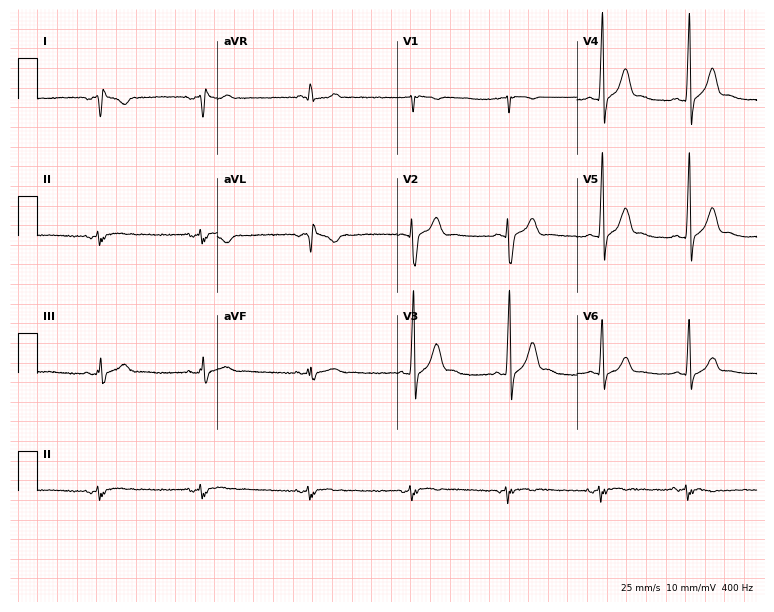
12-lead ECG from a 22-year-old male patient (7.3-second recording at 400 Hz). No first-degree AV block, right bundle branch block, left bundle branch block, sinus bradycardia, atrial fibrillation or sinus tachycardia recorded for this tracing. Other findings, if any, are not listed.